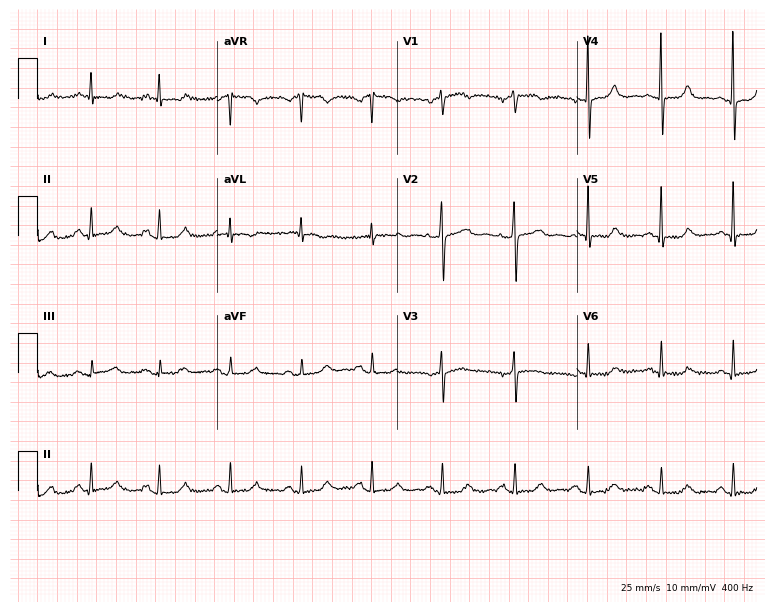
ECG (7.3-second recording at 400 Hz) — a female patient, 66 years old. Labelled as a normal ECG.